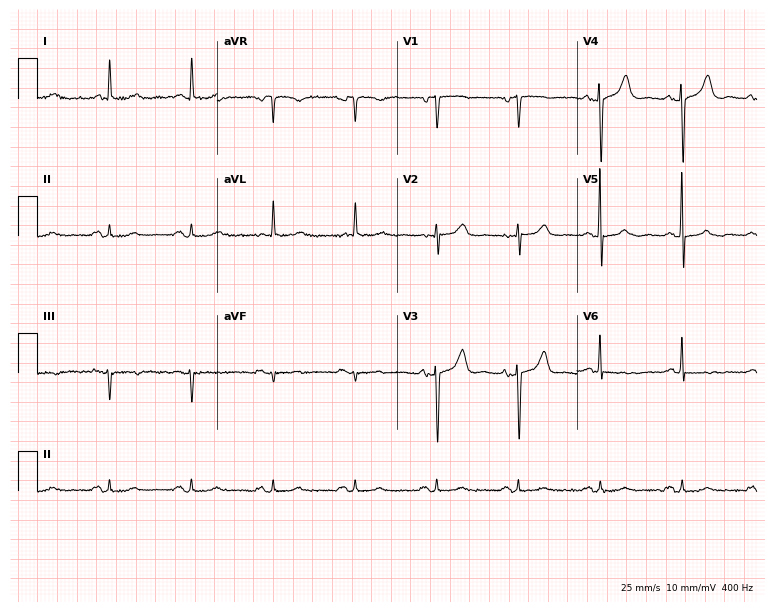
ECG (7.3-second recording at 400 Hz) — a female, 81 years old. Screened for six findings — first-degree AV block, right bundle branch block, left bundle branch block, sinus bradycardia, atrial fibrillation, sinus tachycardia — none is recorded. Only these six findings were labelled.